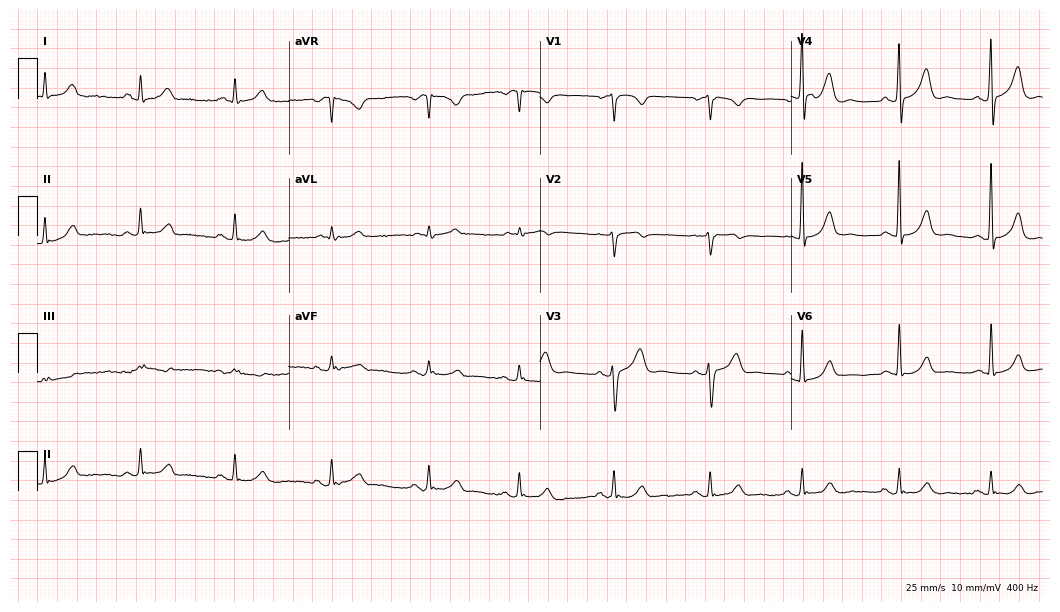
Electrocardiogram, a 42-year-old male patient. Overall reading on record: normal ECG.